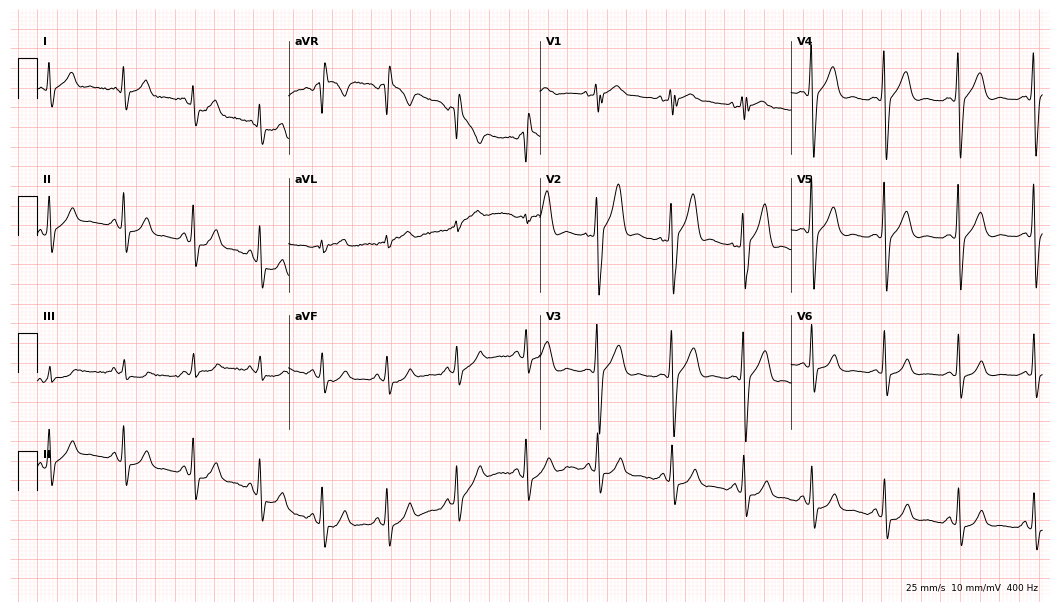
12-lead ECG from a 26-year-old male (10.2-second recording at 400 Hz). Recorded interpretation: within normal limits.